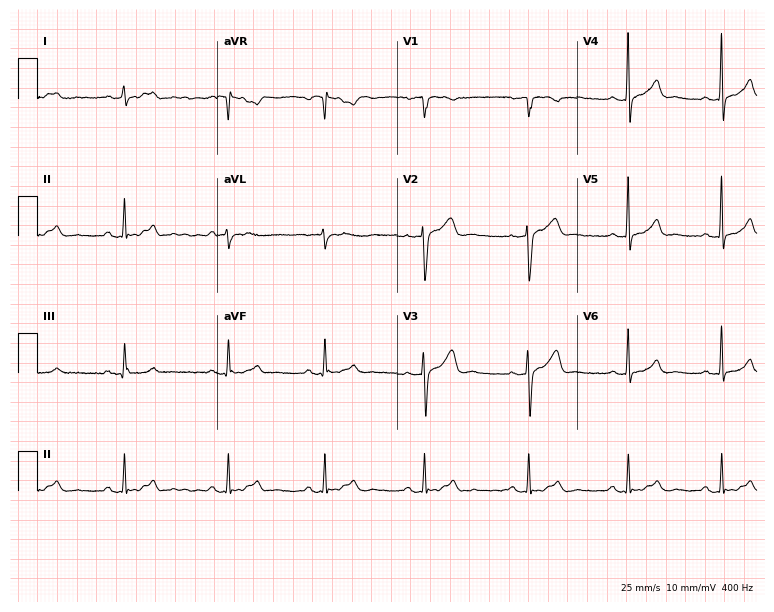
12-lead ECG from a 48-year-old female (7.3-second recording at 400 Hz). Recorded interpretation: within normal limits.